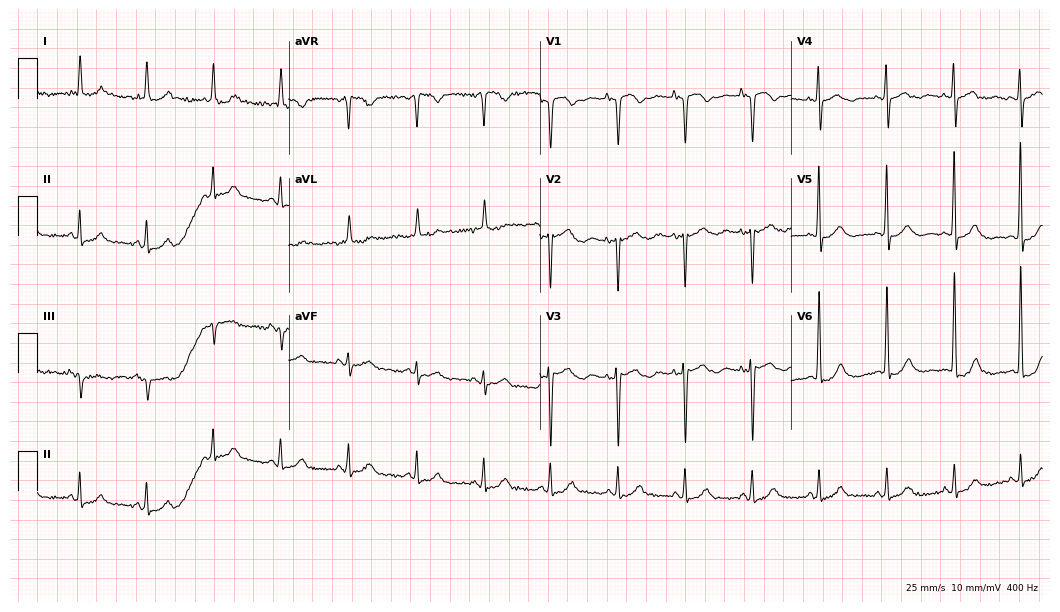
Electrocardiogram, a female patient, 78 years old. Of the six screened findings (first-degree AV block, right bundle branch block (RBBB), left bundle branch block (LBBB), sinus bradycardia, atrial fibrillation (AF), sinus tachycardia), none is recorded.